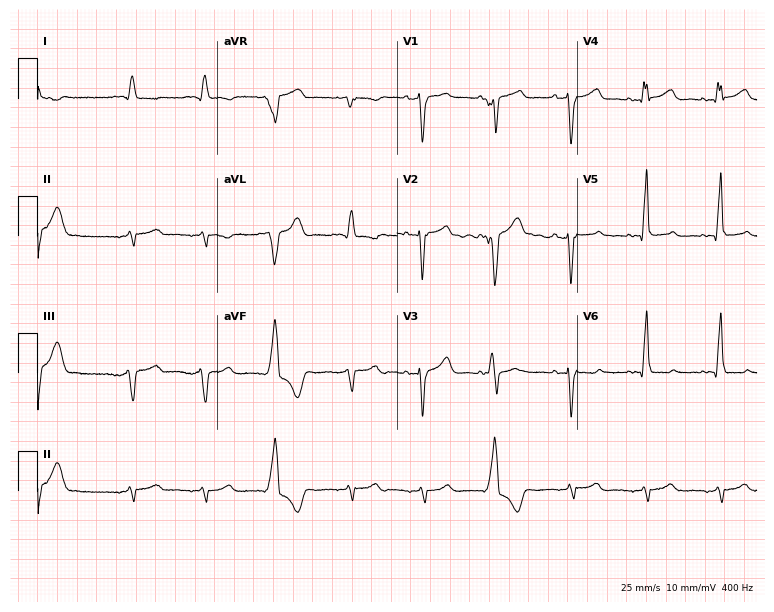
12-lead ECG (7.3-second recording at 400 Hz) from a male, 47 years old. Screened for six findings — first-degree AV block, right bundle branch block, left bundle branch block, sinus bradycardia, atrial fibrillation, sinus tachycardia — none is recorded.